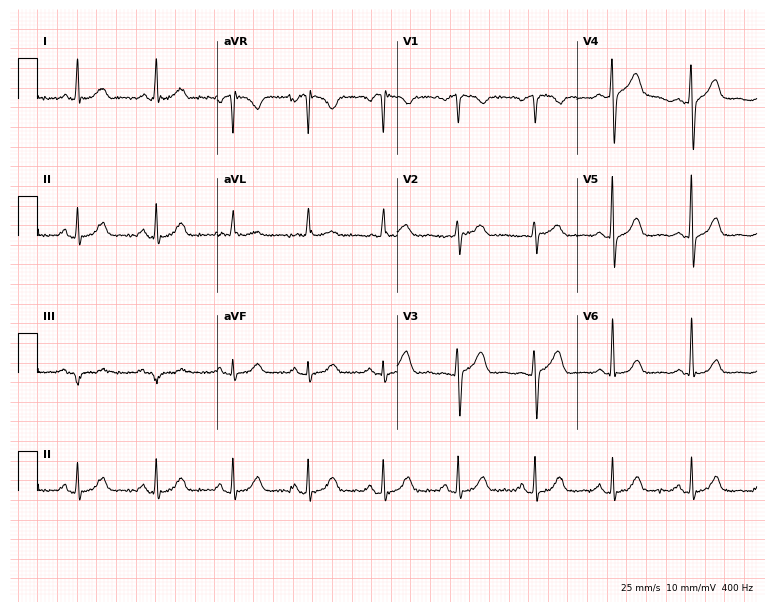
ECG (7.3-second recording at 400 Hz) — a female, 71 years old. Labelled as a normal ECG.